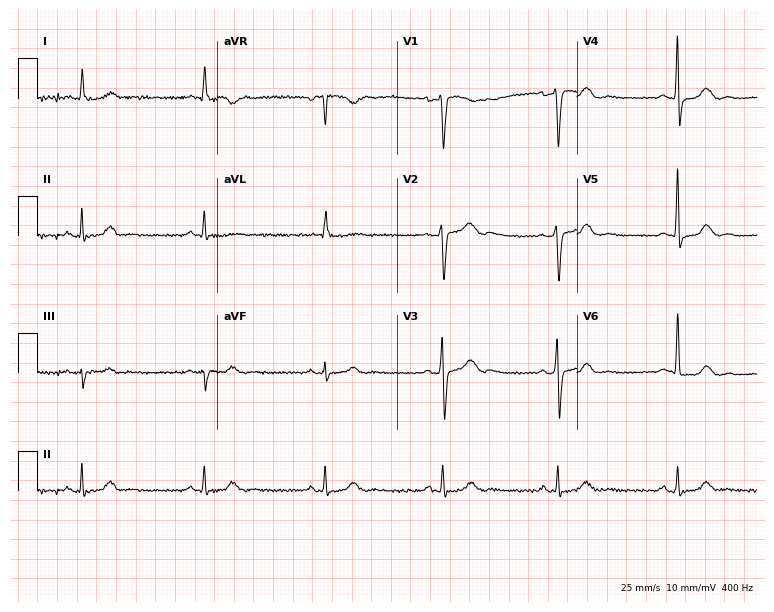
Resting 12-lead electrocardiogram (7.3-second recording at 400 Hz). Patient: a 65-year-old male. None of these six findings is recorded: first-degree AV block, right bundle branch block, left bundle branch block, sinus bradycardia, atrial fibrillation, sinus tachycardia.